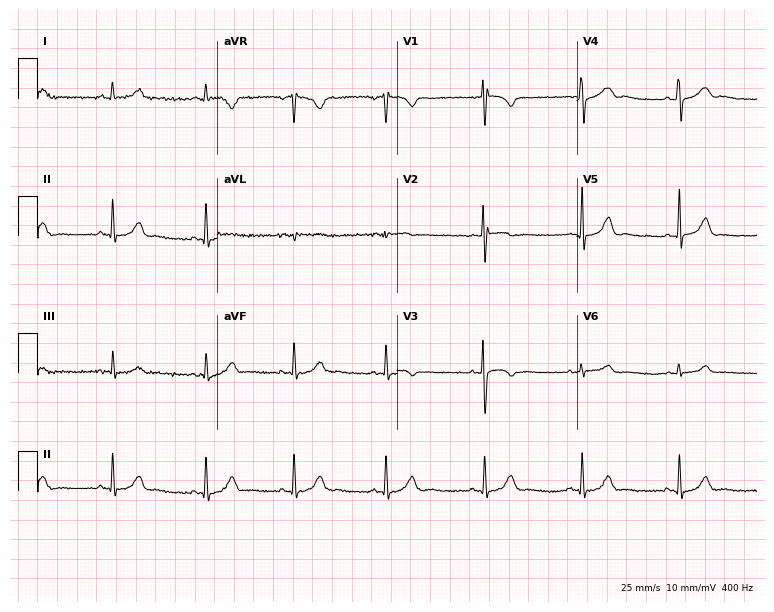
Resting 12-lead electrocardiogram (7.3-second recording at 400 Hz). Patient: a 41-year-old woman. None of these six findings is recorded: first-degree AV block, right bundle branch block, left bundle branch block, sinus bradycardia, atrial fibrillation, sinus tachycardia.